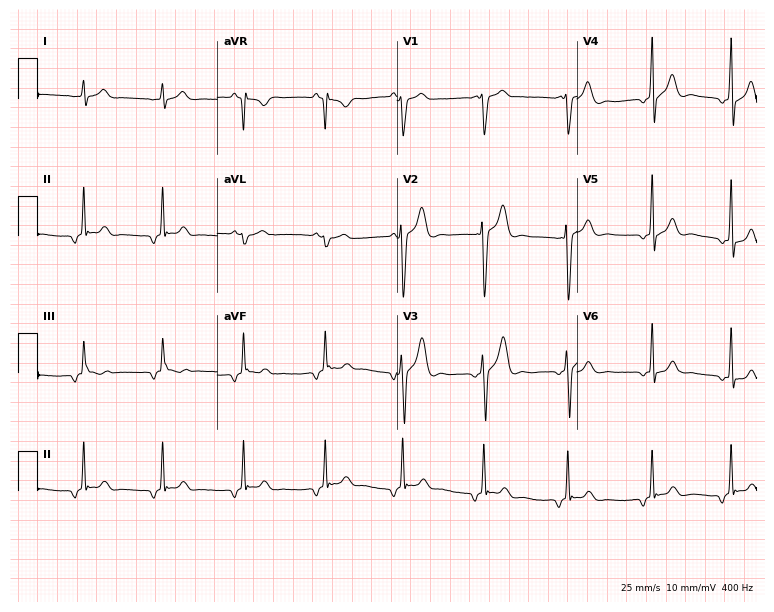
12-lead ECG from a male patient, 27 years old (7.3-second recording at 400 Hz). No first-degree AV block, right bundle branch block (RBBB), left bundle branch block (LBBB), sinus bradycardia, atrial fibrillation (AF) or sinus tachycardia recorded for this tracing.